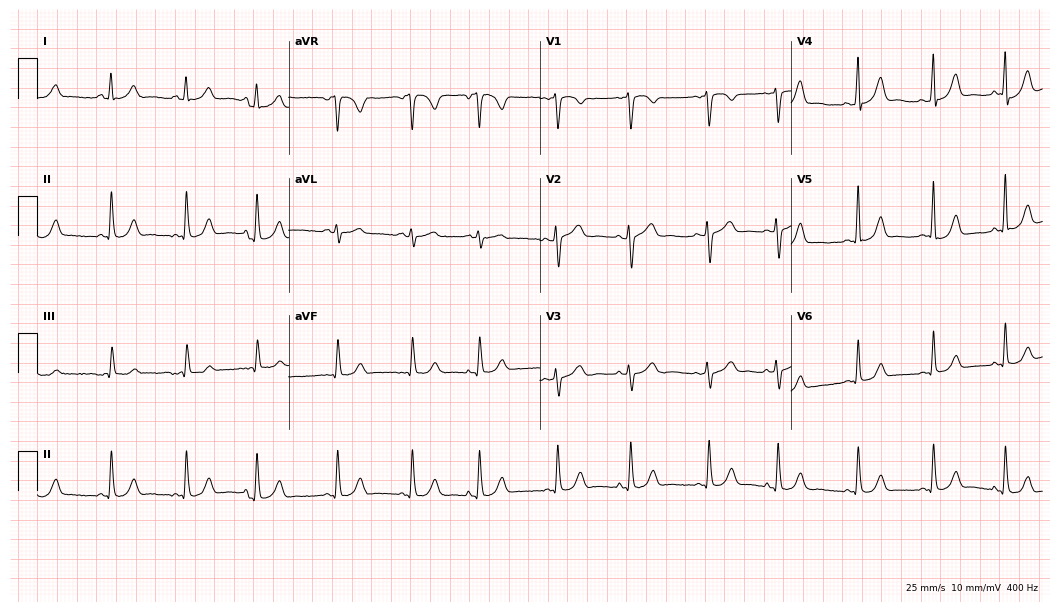
ECG — a 37-year-old female patient. Labelled as a normal ECG.